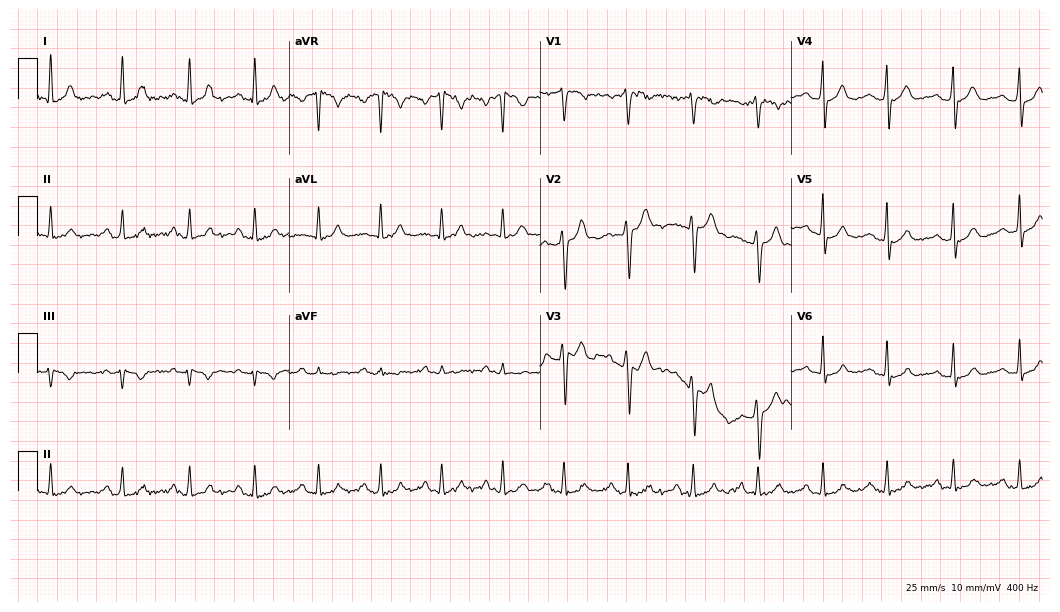
ECG (10.2-second recording at 400 Hz) — a 27-year-old woman. Labelled as a normal ECG.